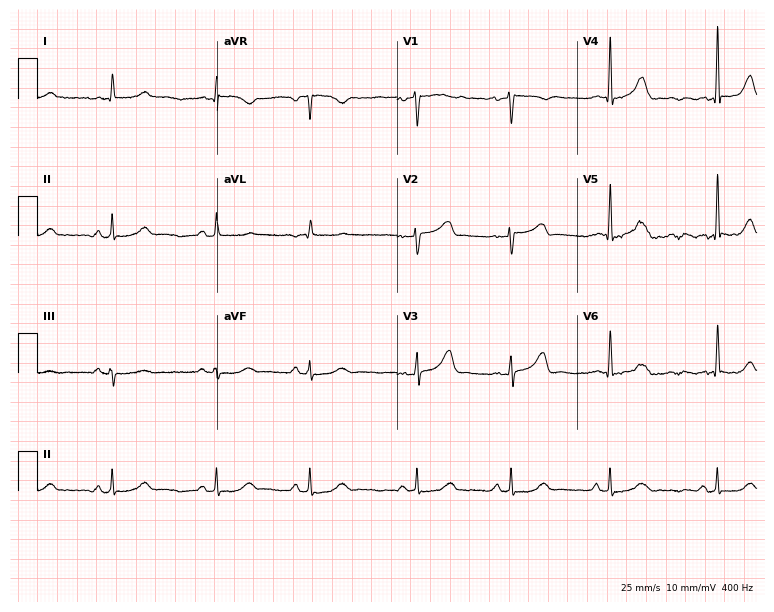
Electrocardiogram (7.3-second recording at 400 Hz), a woman, 70 years old. Overall reading on record: normal ECG.